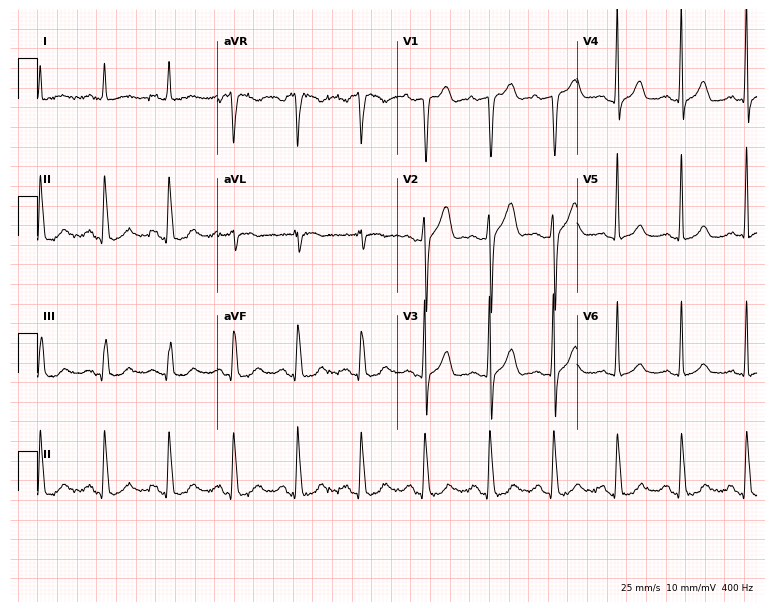
12-lead ECG from a male, 65 years old. No first-degree AV block, right bundle branch block (RBBB), left bundle branch block (LBBB), sinus bradycardia, atrial fibrillation (AF) or sinus tachycardia recorded for this tracing. Findings outside these six are not listed.